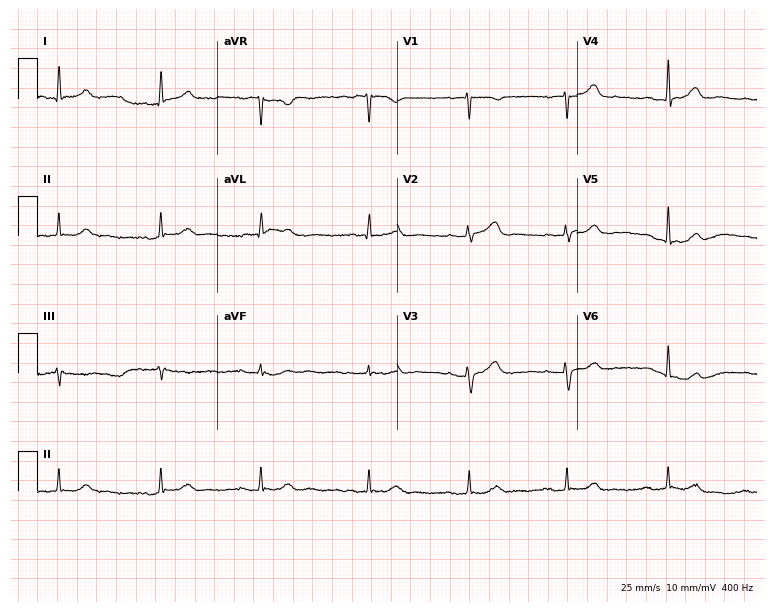
ECG (7.3-second recording at 400 Hz) — a female patient, 29 years old. Labelled as a normal ECG.